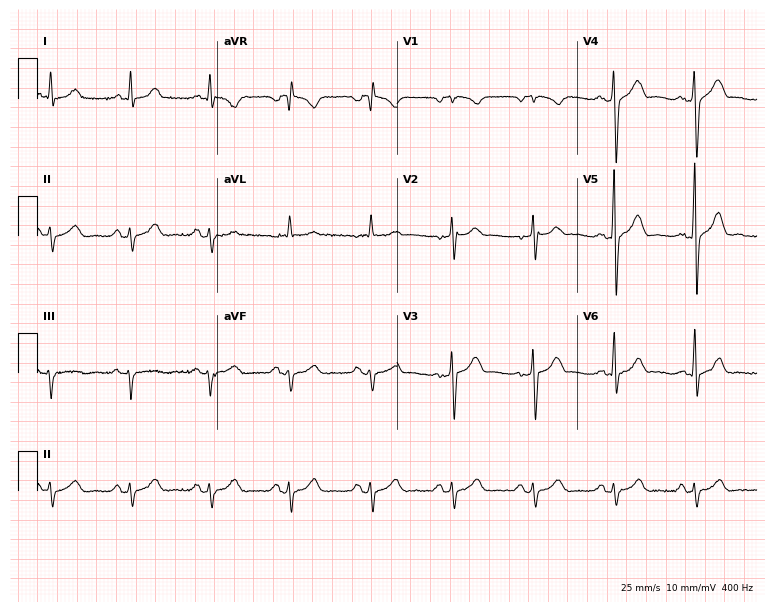
12-lead ECG (7.3-second recording at 400 Hz) from a 50-year-old man. Screened for six findings — first-degree AV block, right bundle branch block, left bundle branch block, sinus bradycardia, atrial fibrillation, sinus tachycardia — none is recorded.